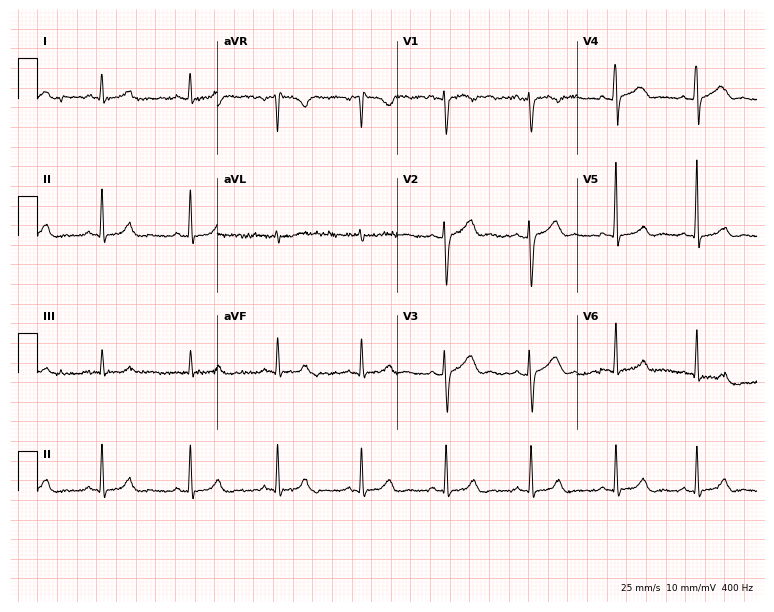
Electrocardiogram, a 42-year-old female patient. Overall reading on record: normal ECG.